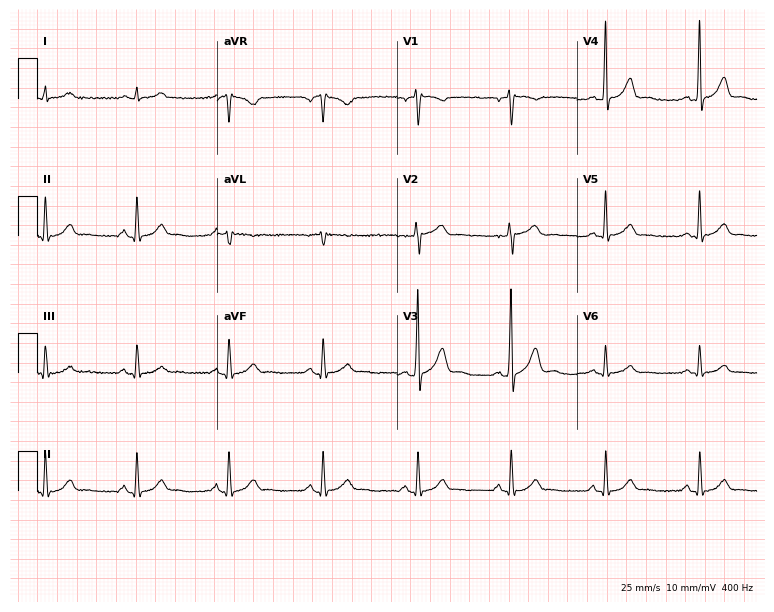
Resting 12-lead electrocardiogram. Patient: a 44-year-old male. Read as a normal ECG.